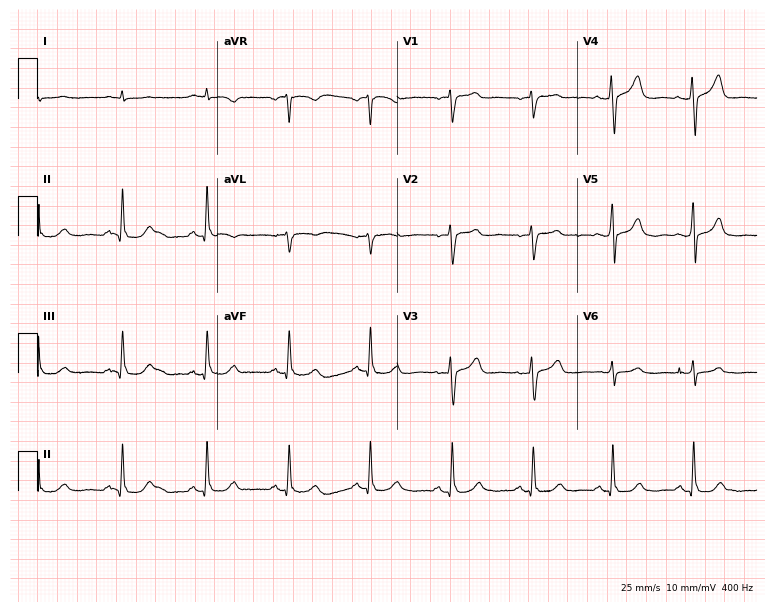
Electrocardiogram (7.3-second recording at 400 Hz), a 65-year-old male. Overall reading on record: normal ECG.